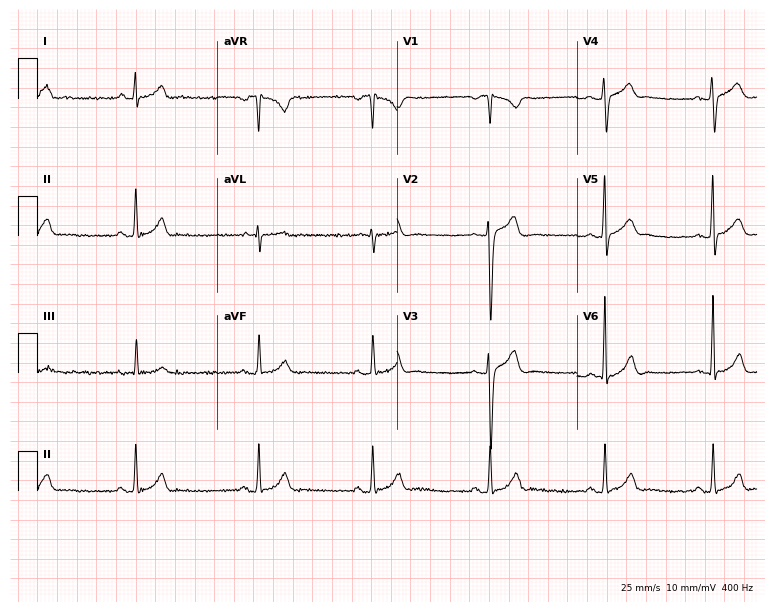
12-lead ECG from a 29-year-old man (7.3-second recording at 400 Hz). Recorded interpretation: within normal limits.